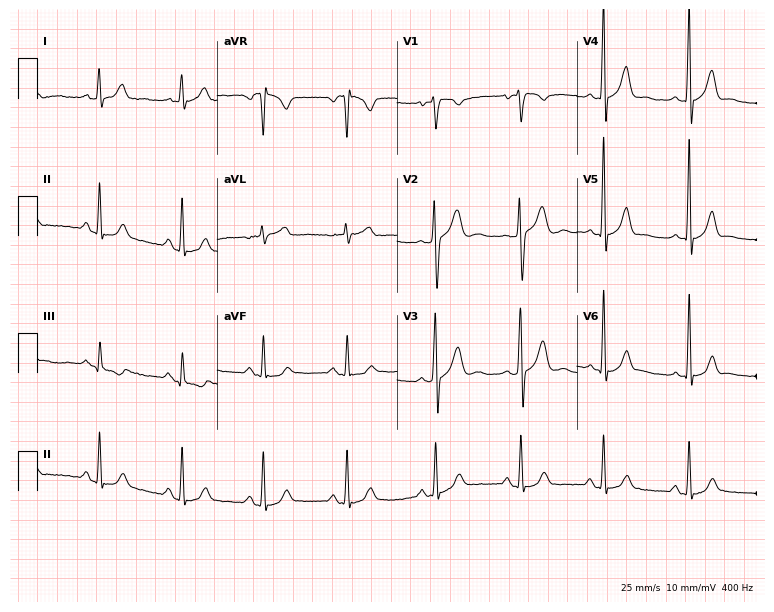
Electrocardiogram, a man, 32 years old. Of the six screened findings (first-degree AV block, right bundle branch block (RBBB), left bundle branch block (LBBB), sinus bradycardia, atrial fibrillation (AF), sinus tachycardia), none is recorded.